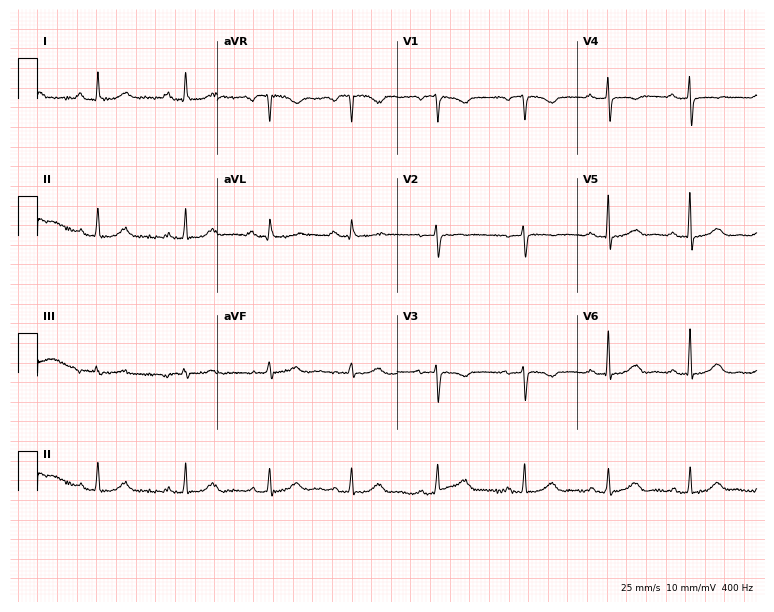
12-lead ECG from a 49-year-old female (7.3-second recording at 400 Hz). No first-degree AV block, right bundle branch block, left bundle branch block, sinus bradycardia, atrial fibrillation or sinus tachycardia recorded for this tracing.